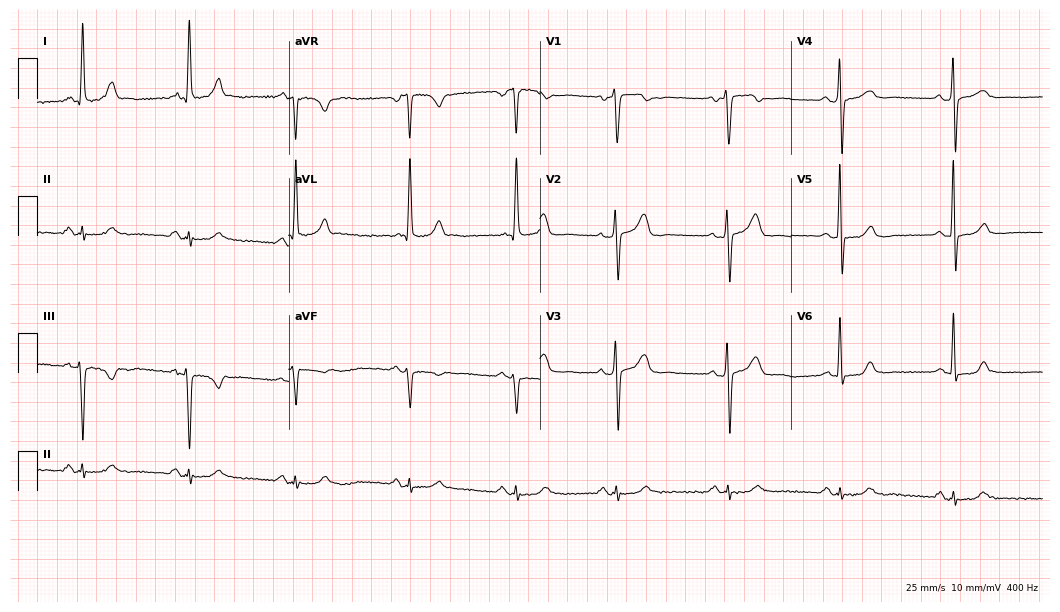
ECG (10.2-second recording at 400 Hz) — a man, 68 years old. Labelled as a normal ECG.